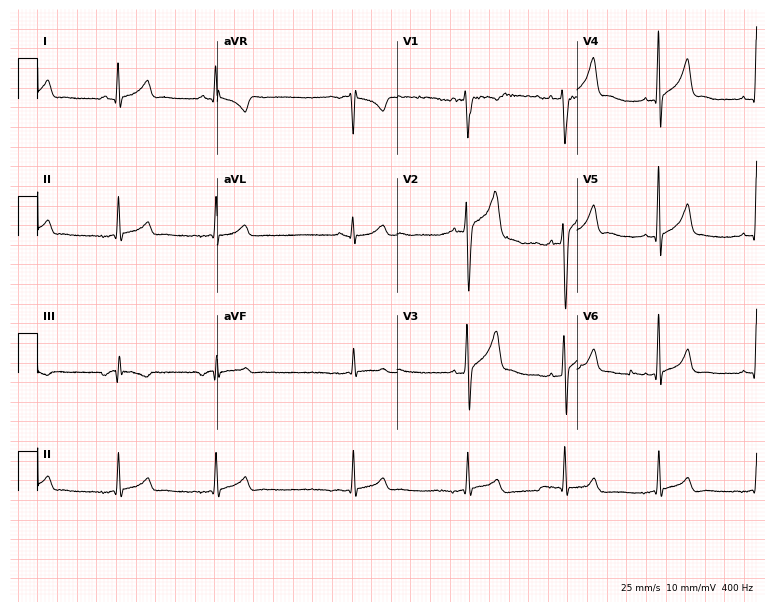
Resting 12-lead electrocardiogram (7.3-second recording at 400 Hz). Patient: a 29-year-old man. None of these six findings is recorded: first-degree AV block, right bundle branch block, left bundle branch block, sinus bradycardia, atrial fibrillation, sinus tachycardia. Other findings, if any, are not listed.